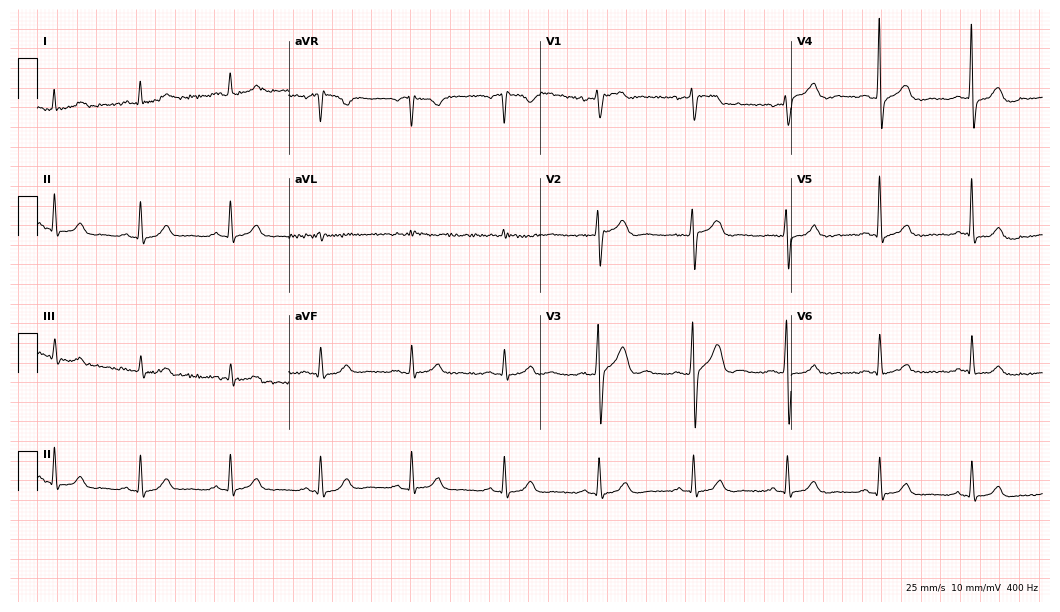
Resting 12-lead electrocardiogram (10.2-second recording at 400 Hz). Patient: a male, 65 years old. Read as a normal ECG.